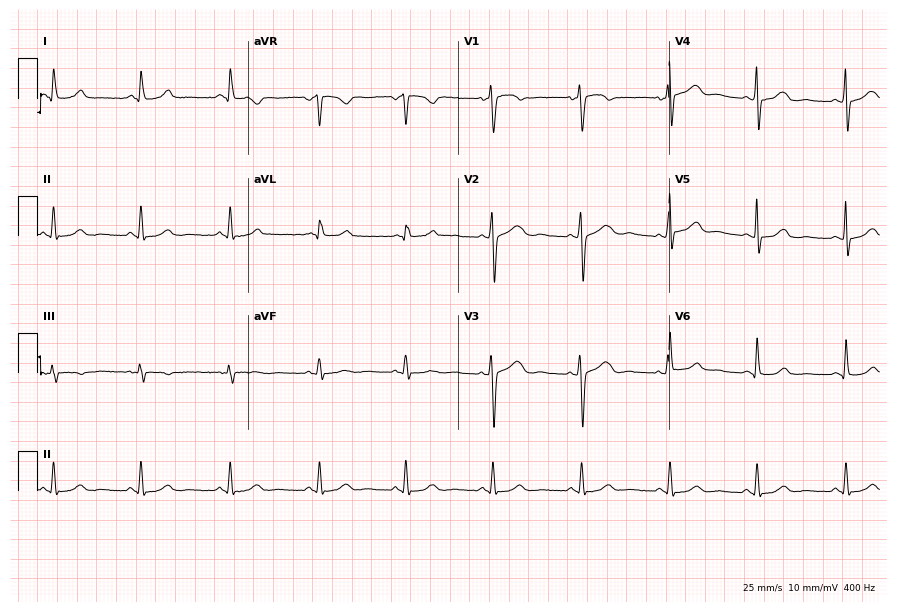
Resting 12-lead electrocardiogram (8.6-second recording at 400 Hz). Patient: a 45-year-old female. None of these six findings is recorded: first-degree AV block, right bundle branch block, left bundle branch block, sinus bradycardia, atrial fibrillation, sinus tachycardia. Findings outside these six are not listed.